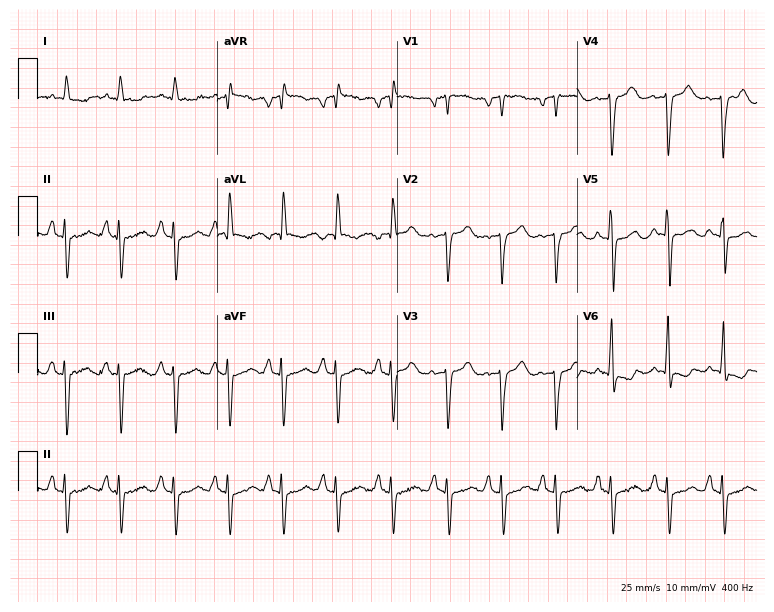
Standard 12-lead ECG recorded from a 70-year-old man. The tracing shows sinus tachycardia (a sinus rate of 100 beats per minute or more).